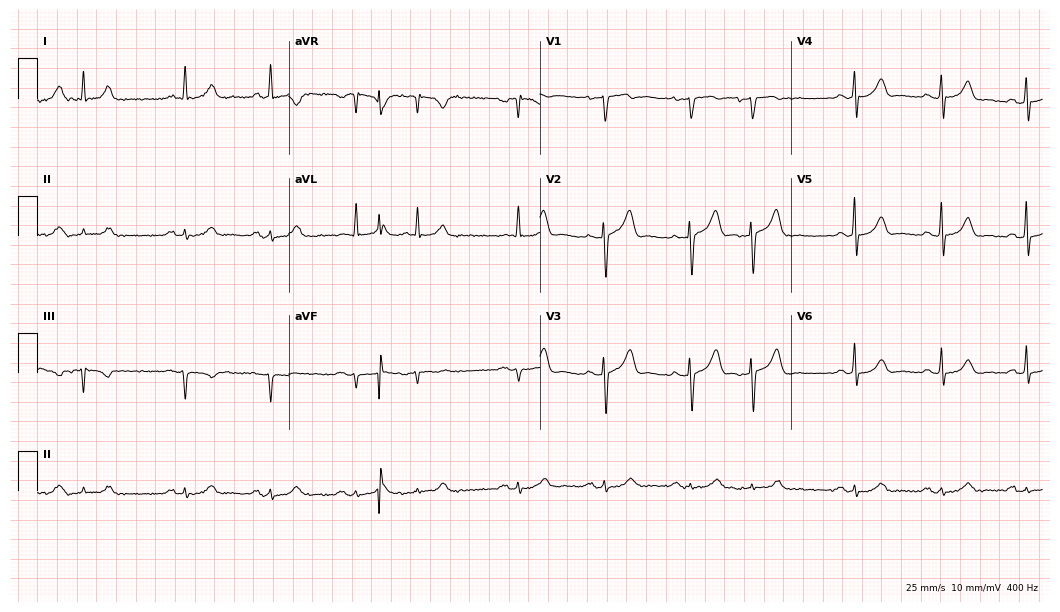
Electrocardiogram (10.2-second recording at 400 Hz), a 39-year-old man. Of the six screened findings (first-degree AV block, right bundle branch block, left bundle branch block, sinus bradycardia, atrial fibrillation, sinus tachycardia), none is recorded. Findings outside these six are not listed.